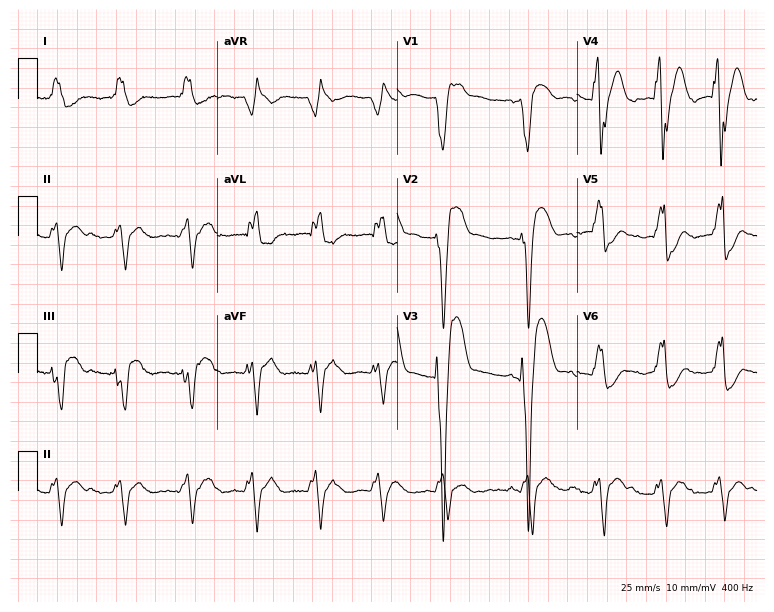
ECG (7.3-second recording at 400 Hz) — an 82-year-old female patient. Findings include left bundle branch block, atrial fibrillation.